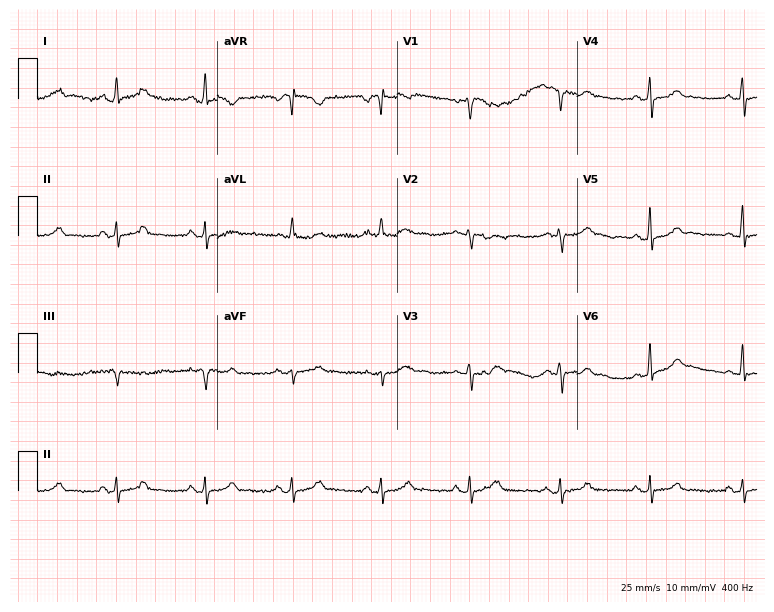
Electrocardiogram (7.3-second recording at 400 Hz), a 41-year-old female patient. Overall reading on record: normal ECG.